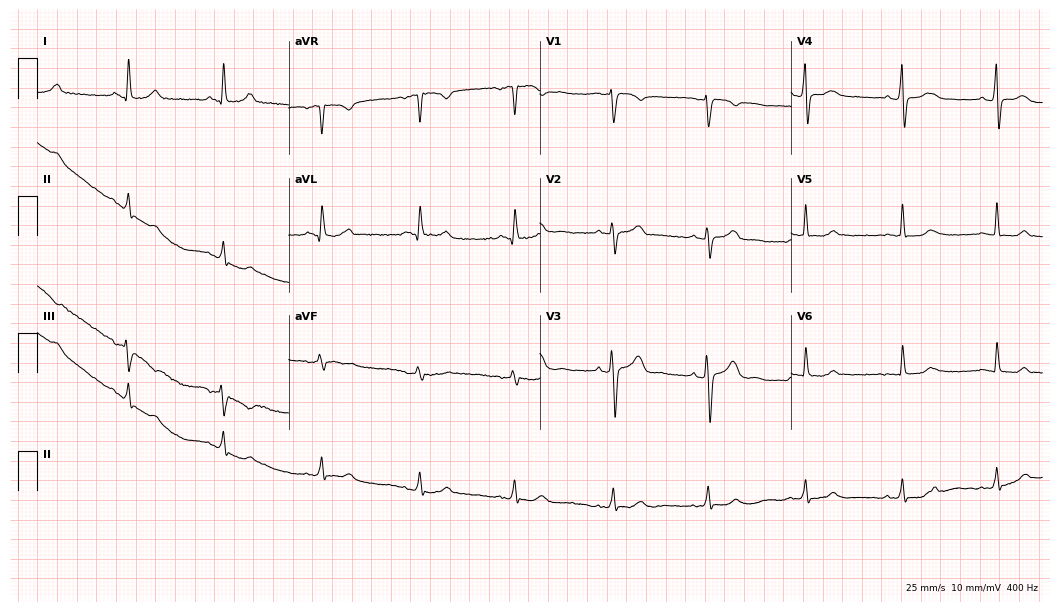
Standard 12-lead ECG recorded from a 53-year-old woman. Read as a normal ECG.